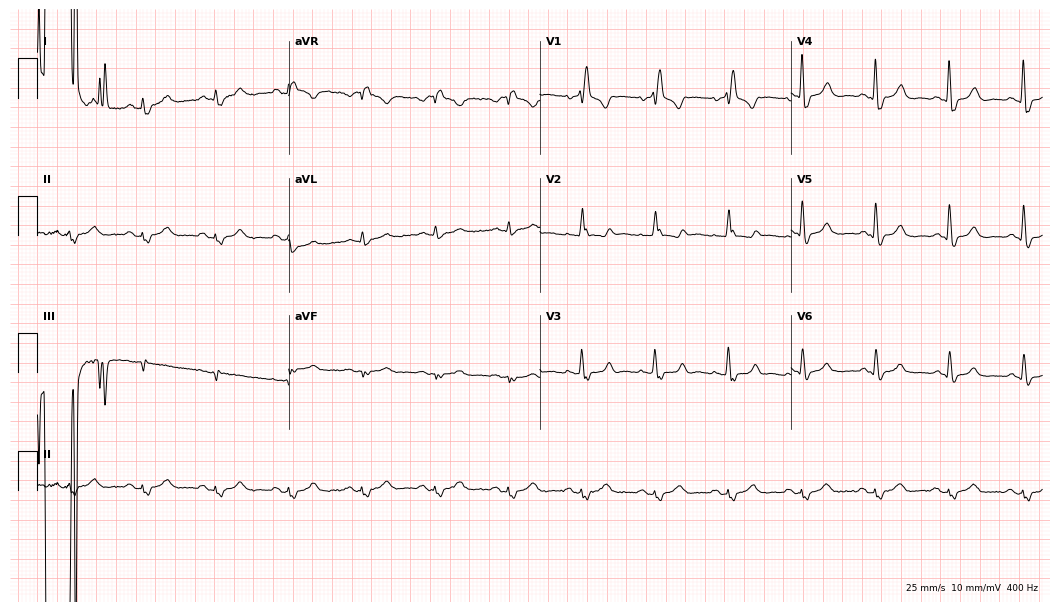
Resting 12-lead electrocardiogram (10.2-second recording at 400 Hz). Patient: an 85-year-old male. None of these six findings is recorded: first-degree AV block, right bundle branch block, left bundle branch block, sinus bradycardia, atrial fibrillation, sinus tachycardia.